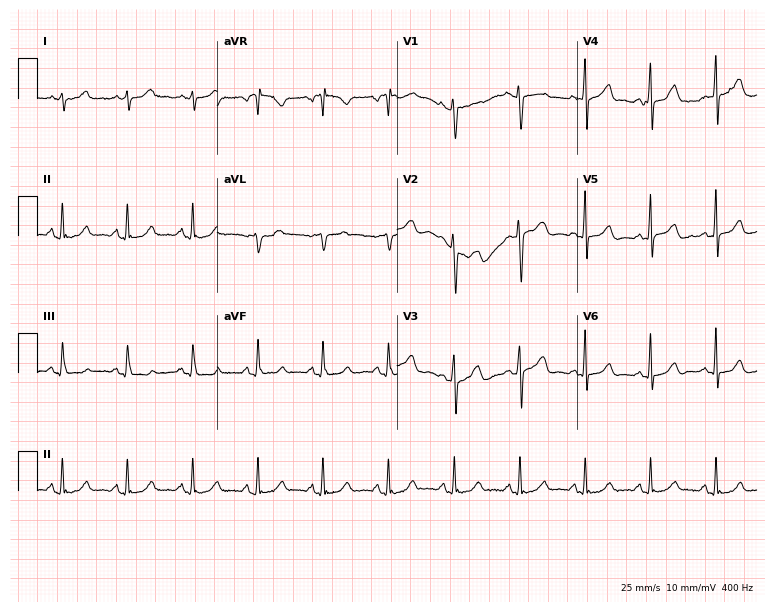
Electrocardiogram, a woman, 46 years old. Of the six screened findings (first-degree AV block, right bundle branch block, left bundle branch block, sinus bradycardia, atrial fibrillation, sinus tachycardia), none is recorded. Only these six findings were labelled.